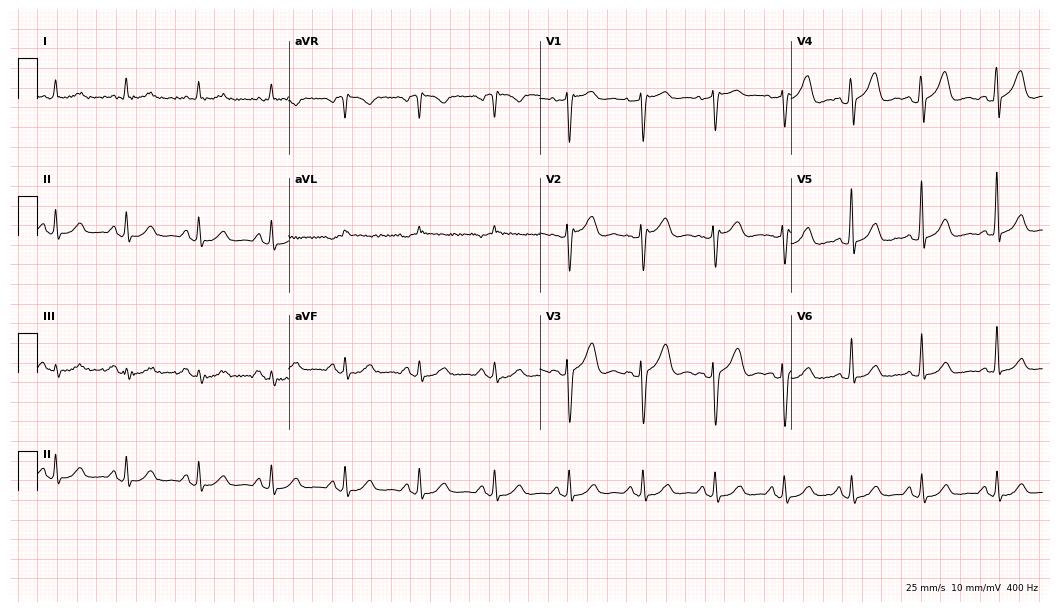
Resting 12-lead electrocardiogram. Patient: a female, 54 years old. Read as a normal ECG.